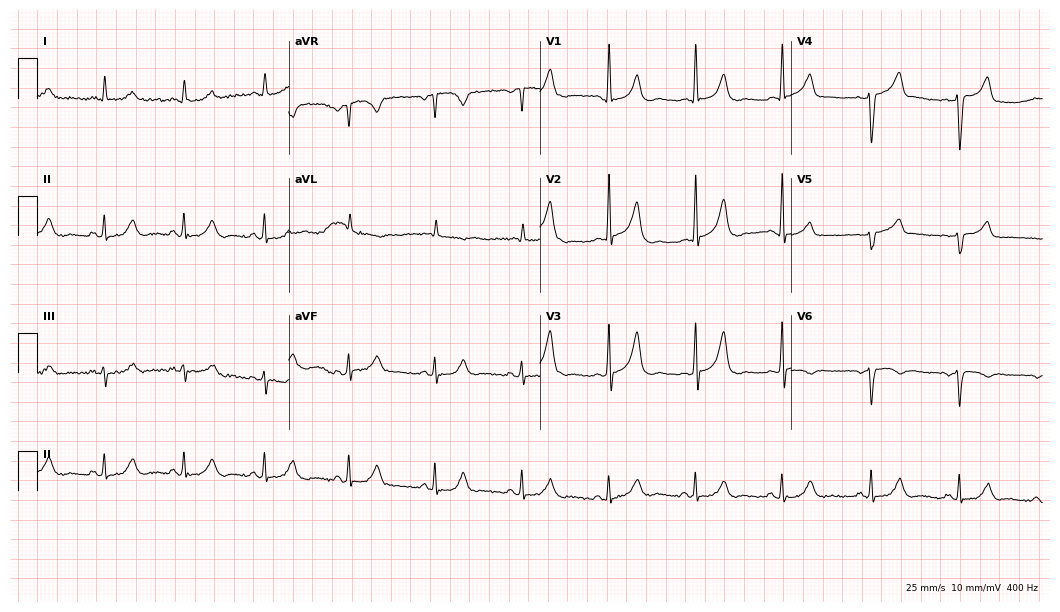
ECG — a female, 26 years old. Screened for six findings — first-degree AV block, right bundle branch block, left bundle branch block, sinus bradycardia, atrial fibrillation, sinus tachycardia — none is recorded. Other findings, if any, are not listed.